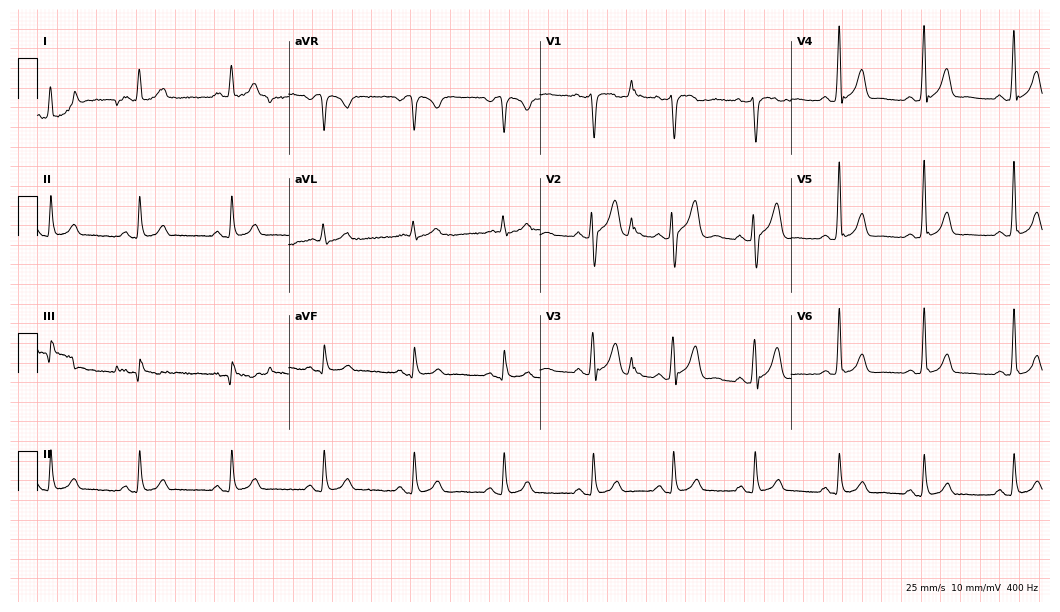
Electrocardiogram, a 35-year-old man. Of the six screened findings (first-degree AV block, right bundle branch block, left bundle branch block, sinus bradycardia, atrial fibrillation, sinus tachycardia), none is recorded. Other findings, if any, are not listed.